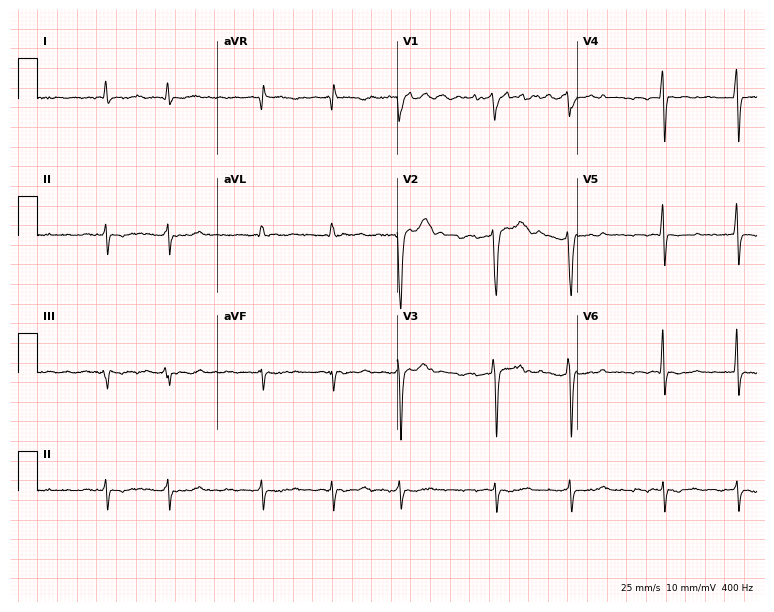
Electrocardiogram, a 57-year-old male. Interpretation includes atrial fibrillation.